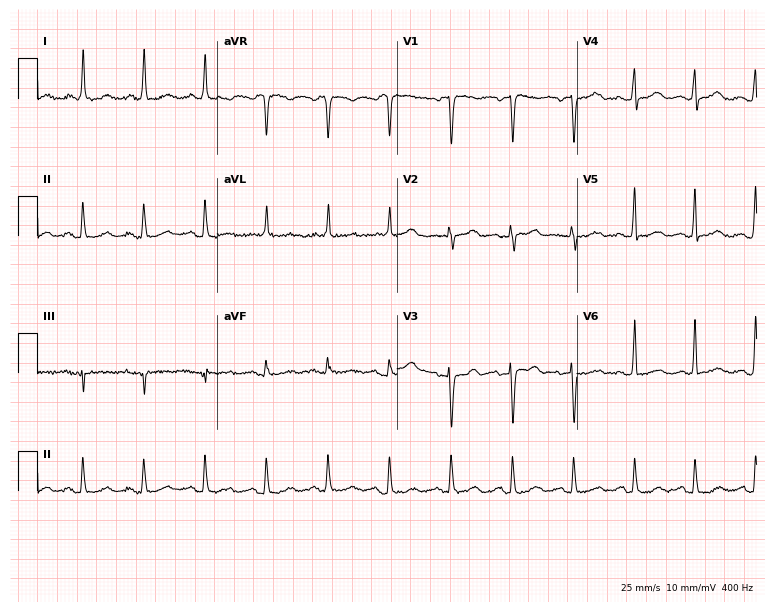
12-lead ECG from a 63-year-old female patient (7.3-second recording at 400 Hz). No first-degree AV block, right bundle branch block, left bundle branch block, sinus bradycardia, atrial fibrillation or sinus tachycardia recorded for this tracing. Findings outside these six are not listed.